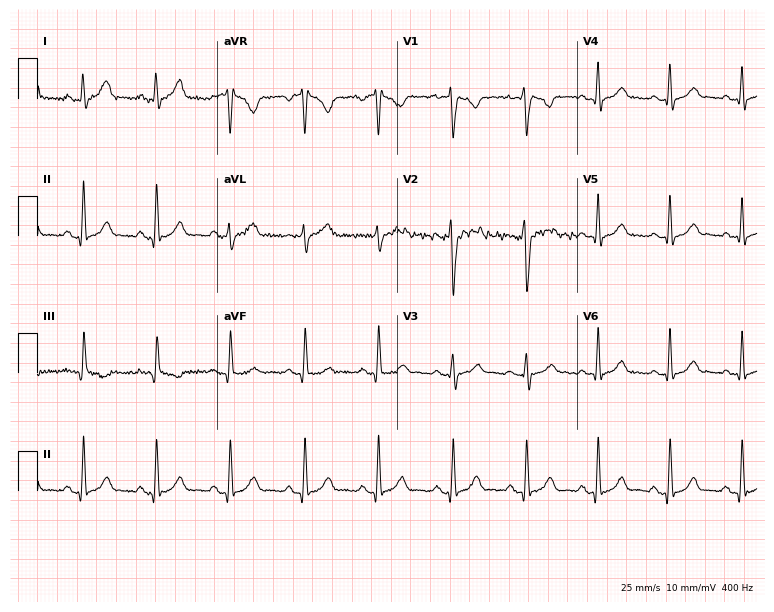
12-lead ECG (7.3-second recording at 400 Hz) from a 21-year-old woman. Labelled as a normal ECG.